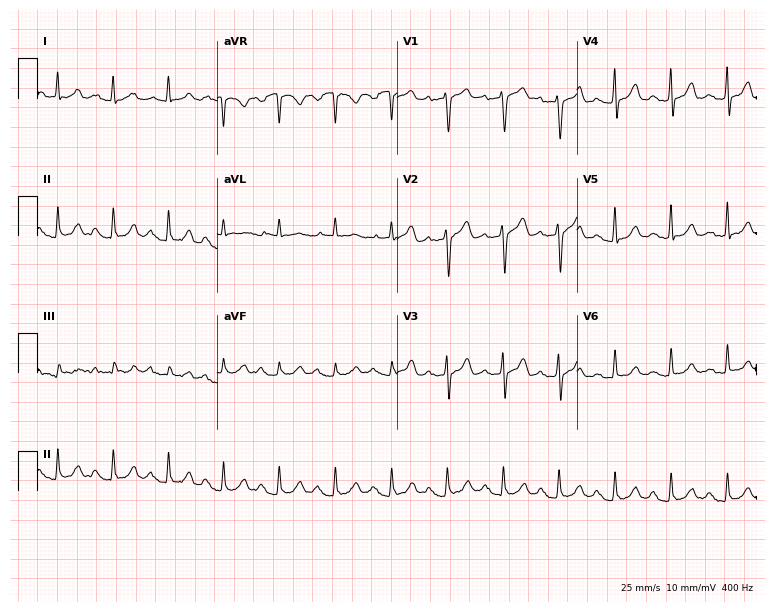
12-lead ECG from a man, 77 years old (7.3-second recording at 400 Hz). Shows sinus tachycardia (a sinus rate of 100 beats per minute or more).